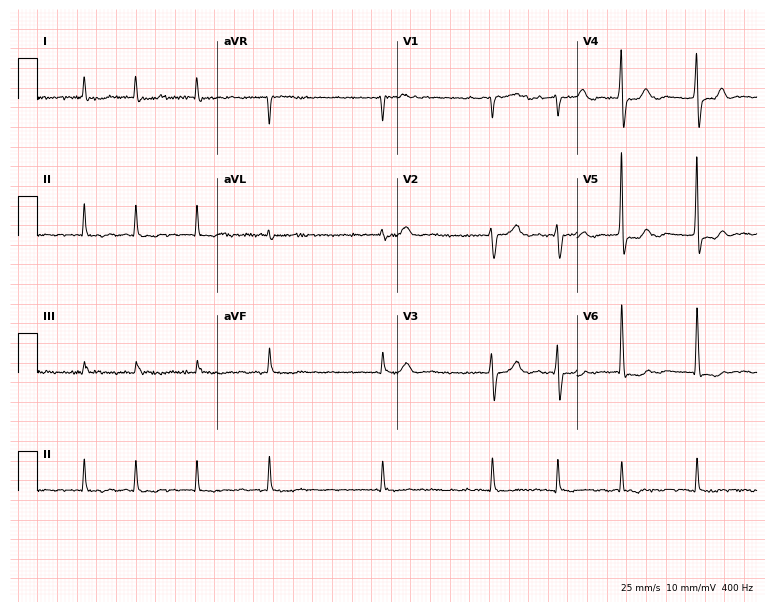
ECG — a 70-year-old man. Findings include atrial fibrillation.